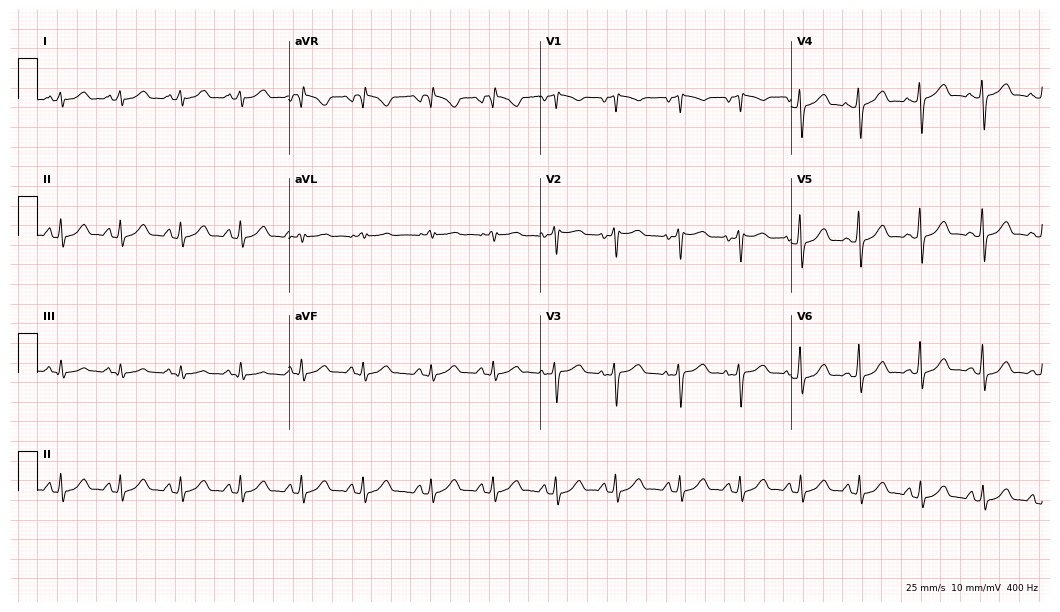
Resting 12-lead electrocardiogram (10.2-second recording at 400 Hz). Patient: a 32-year-old female. None of these six findings is recorded: first-degree AV block, right bundle branch block (RBBB), left bundle branch block (LBBB), sinus bradycardia, atrial fibrillation (AF), sinus tachycardia. Other findings, if any, are not listed.